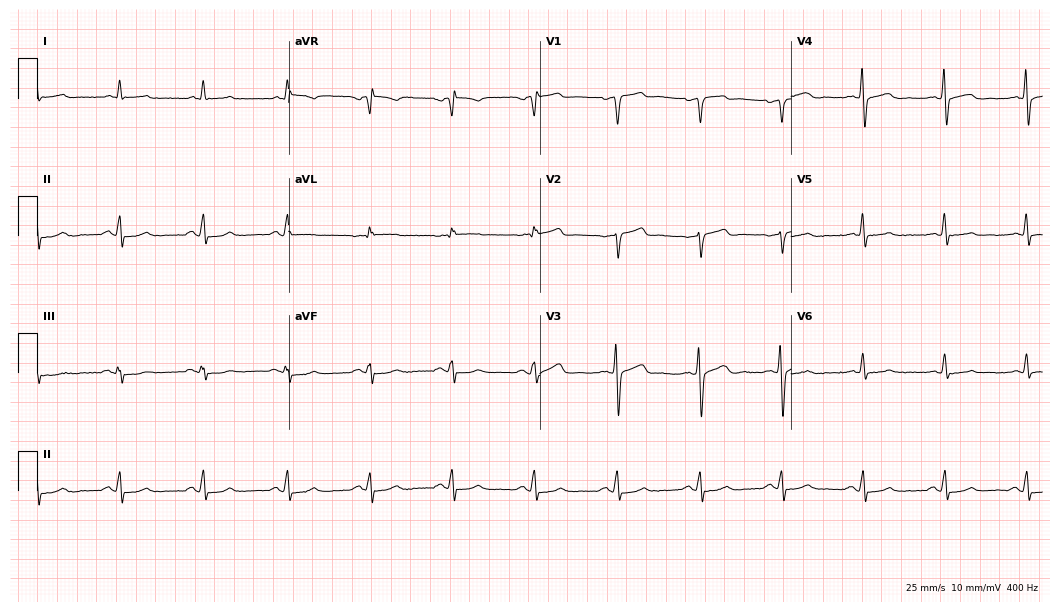
12-lead ECG (10.2-second recording at 400 Hz) from a male patient, 64 years old. Labelled as a normal ECG.